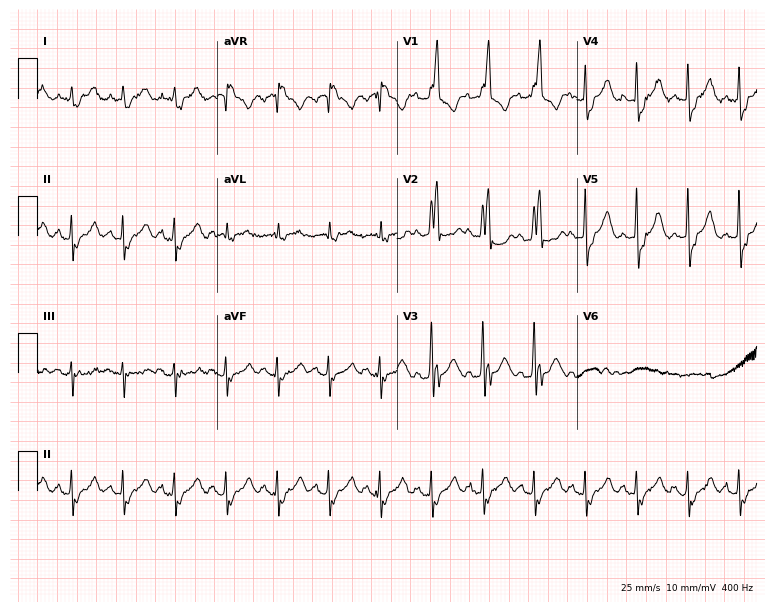
Resting 12-lead electrocardiogram (7.3-second recording at 400 Hz). Patient: a man, 82 years old. None of these six findings is recorded: first-degree AV block, right bundle branch block, left bundle branch block, sinus bradycardia, atrial fibrillation, sinus tachycardia.